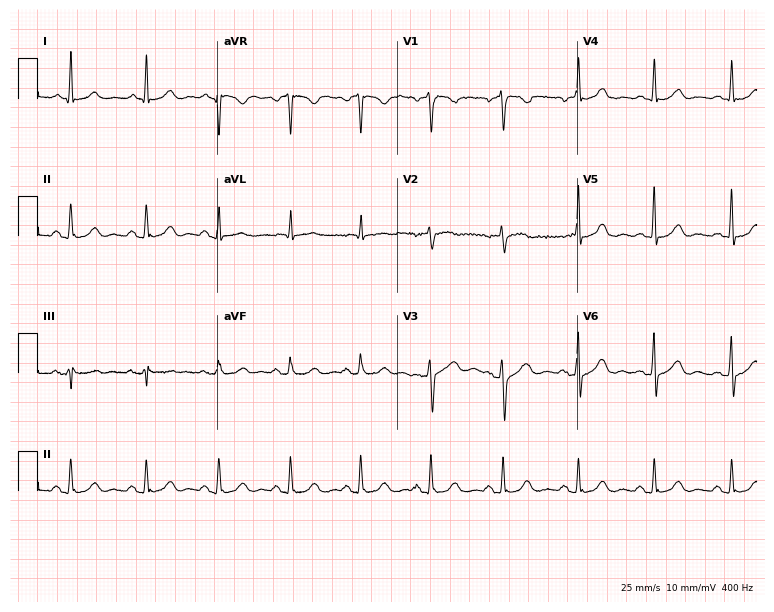
Standard 12-lead ECG recorded from a male patient, 55 years old (7.3-second recording at 400 Hz). None of these six findings is recorded: first-degree AV block, right bundle branch block, left bundle branch block, sinus bradycardia, atrial fibrillation, sinus tachycardia. Findings outside these six are not listed.